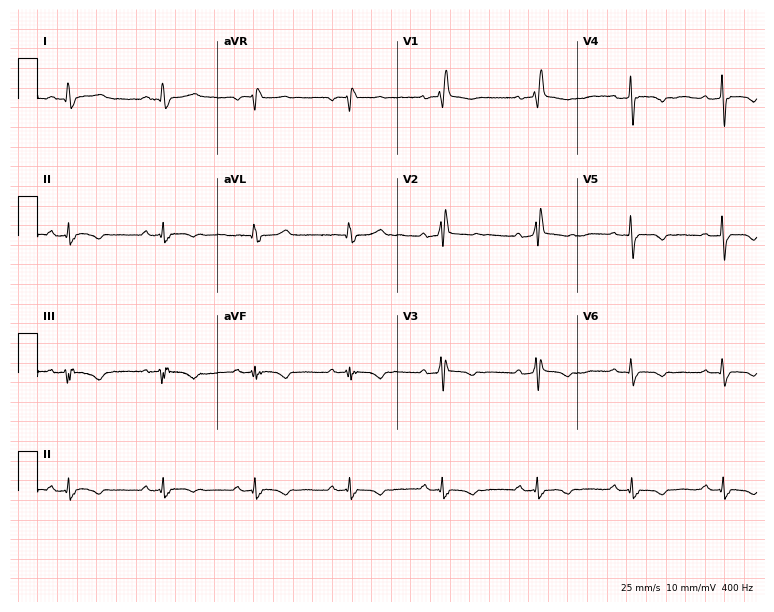
Electrocardiogram, a female patient, 53 years old. Interpretation includes right bundle branch block.